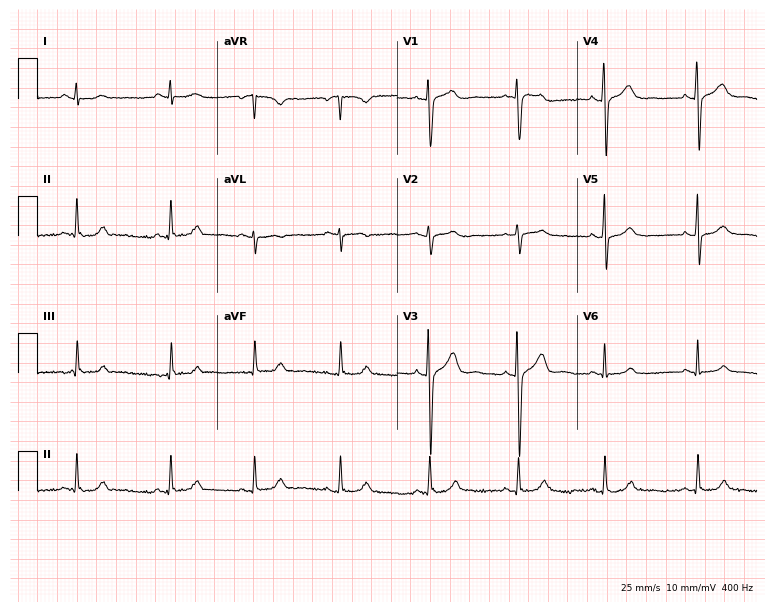
12-lead ECG from a 25-year-old female. Recorded interpretation: within normal limits.